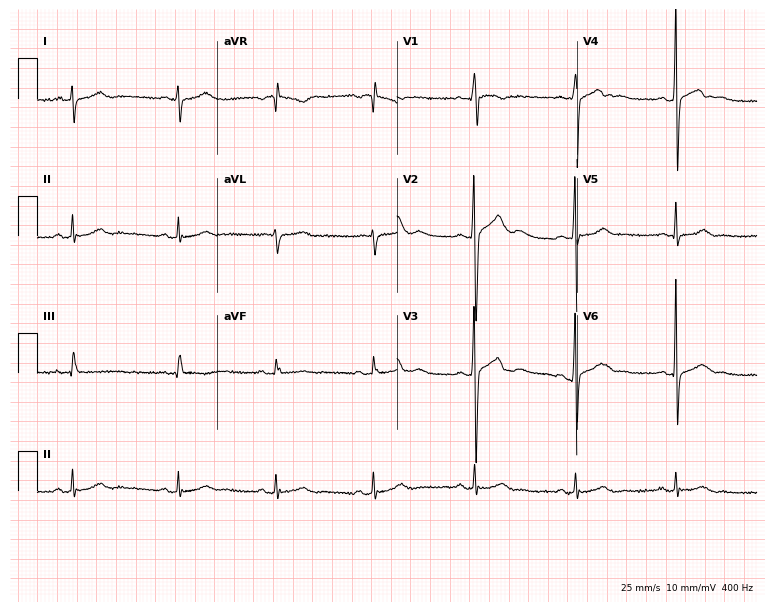
Standard 12-lead ECG recorded from a 23-year-old man (7.3-second recording at 400 Hz). None of these six findings is recorded: first-degree AV block, right bundle branch block, left bundle branch block, sinus bradycardia, atrial fibrillation, sinus tachycardia. Only these six findings were labelled.